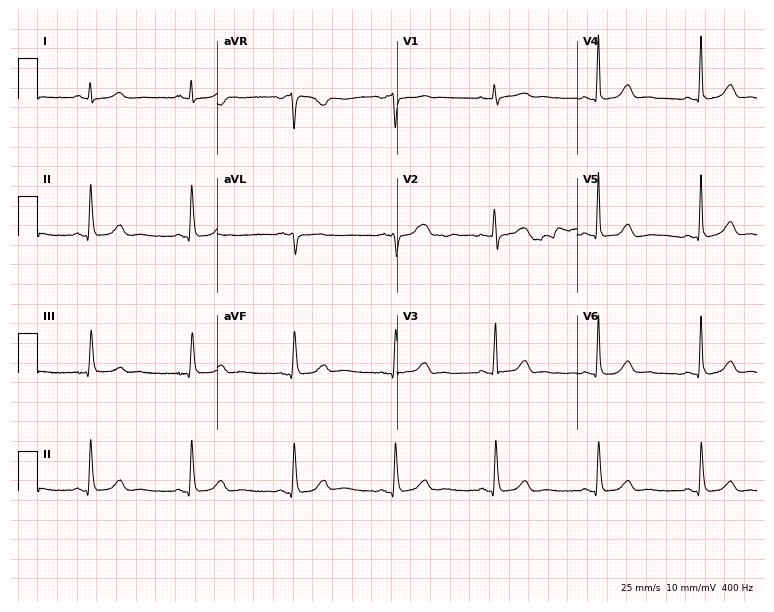
Standard 12-lead ECG recorded from a female patient, 50 years old. Read as a normal ECG.